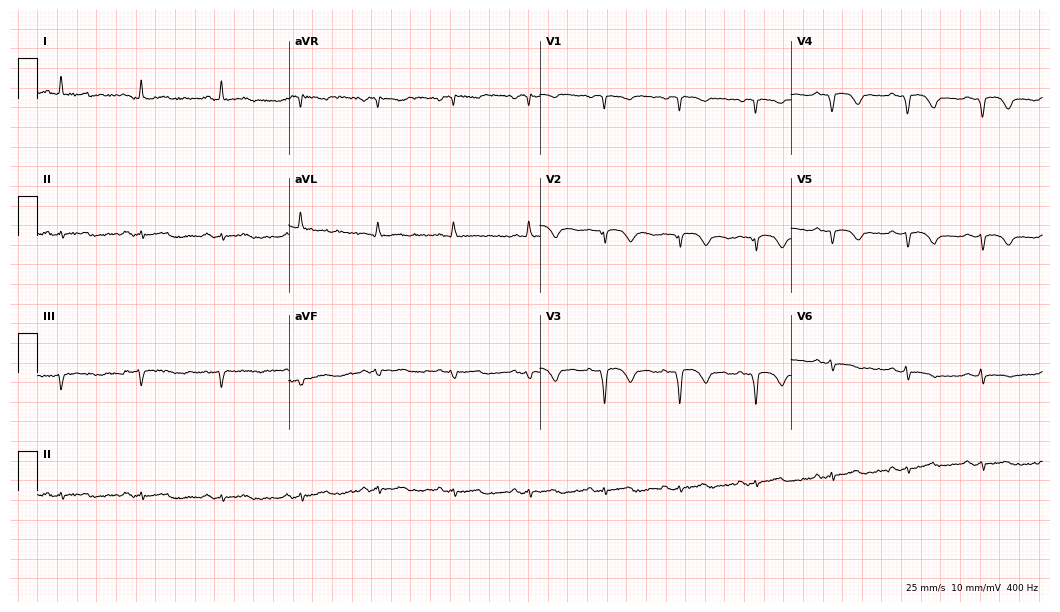
Resting 12-lead electrocardiogram (10.2-second recording at 400 Hz). Patient: a 64-year-old woman. None of these six findings is recorded: first-degree AV block, right bundle branch block, left bundle branch block, sinus bradycardia, atrial fibrillation, sinus tachycardia. Findings outside these six are not listed.